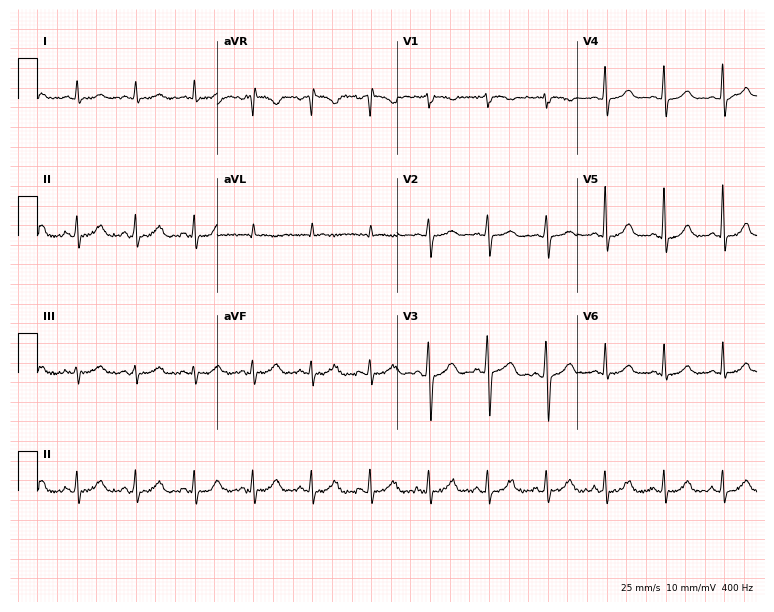
Resting 12-lead electrocardiogram (7.3-second recording at 400 Hz). Patient: a male, 70 years old. The tracing shows sinus tachycardia (a sinus rate of 100 beats per minute or more).